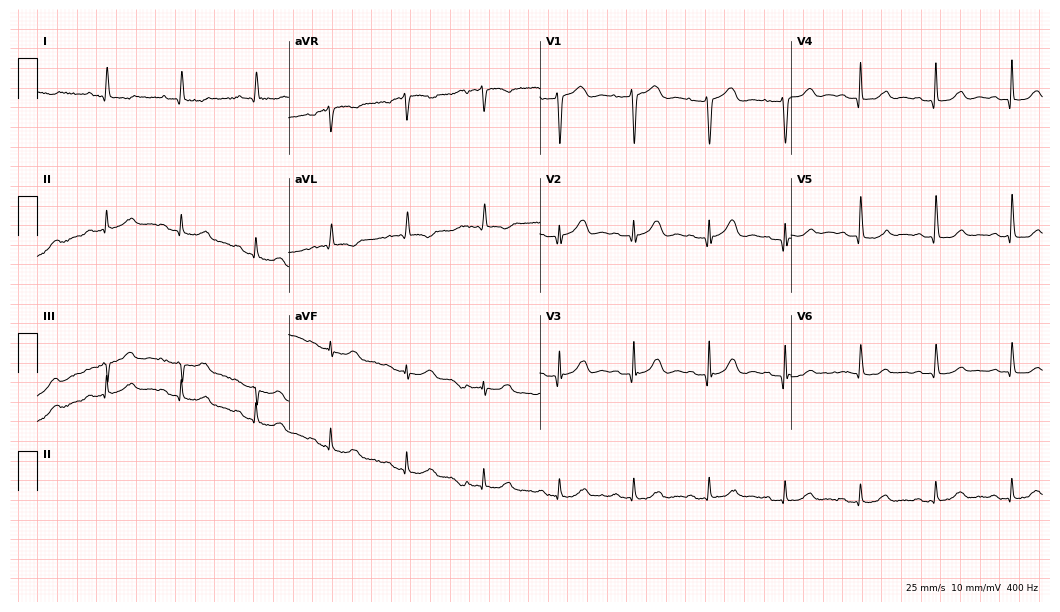
Standard 12-lead ECG recorded from an 85-year-old female (10.2-second recording at 400 Hz). None of these six findings is recorded: first-degree AV block, right bundle branch block, left bundle branch block, sinus bradycardia, atrial fibrillation, sinus tachycardia. Findings outside these six are not listed.